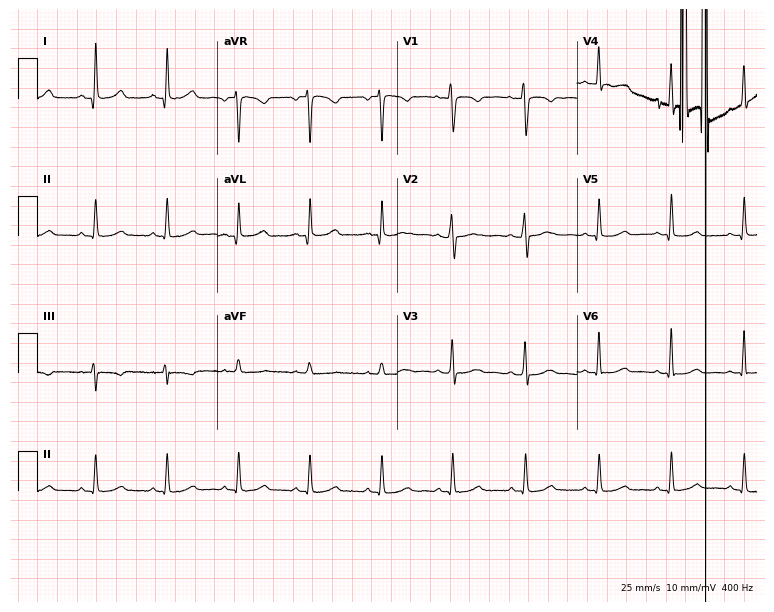
12-lead ECG (7.3-second recording at 400 Hz) from a 41-year-old woman. Labelled as a normal ECG.